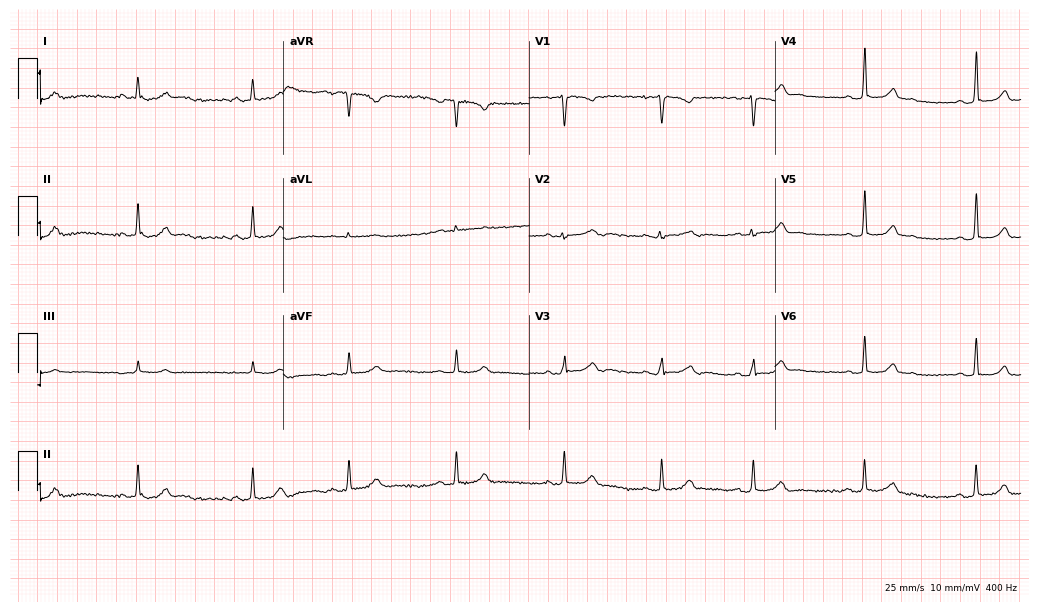
12-lead ECG from a woman, 19 years old. Recorded interpretation: within normal limits.